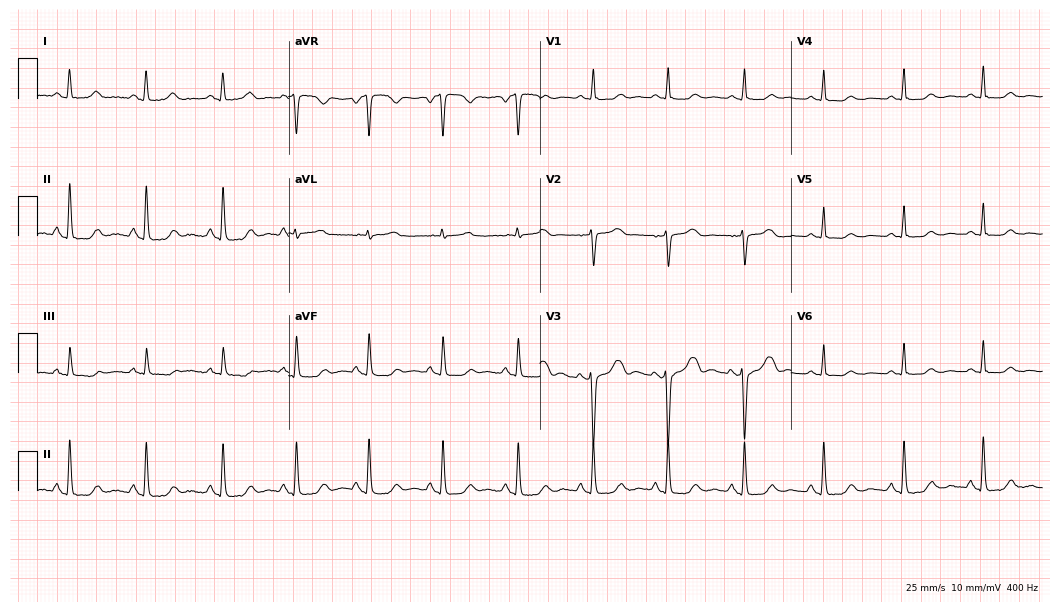
Electrocardiogram, a woman, 43 years old. Of the six screened findings (first-degree AV block, right bundle branch block (RBBB), left bundle branch block (LBBB), sinus bradycardia, atrial fibrillation (AF), sinus tachycardia), none is recorded.